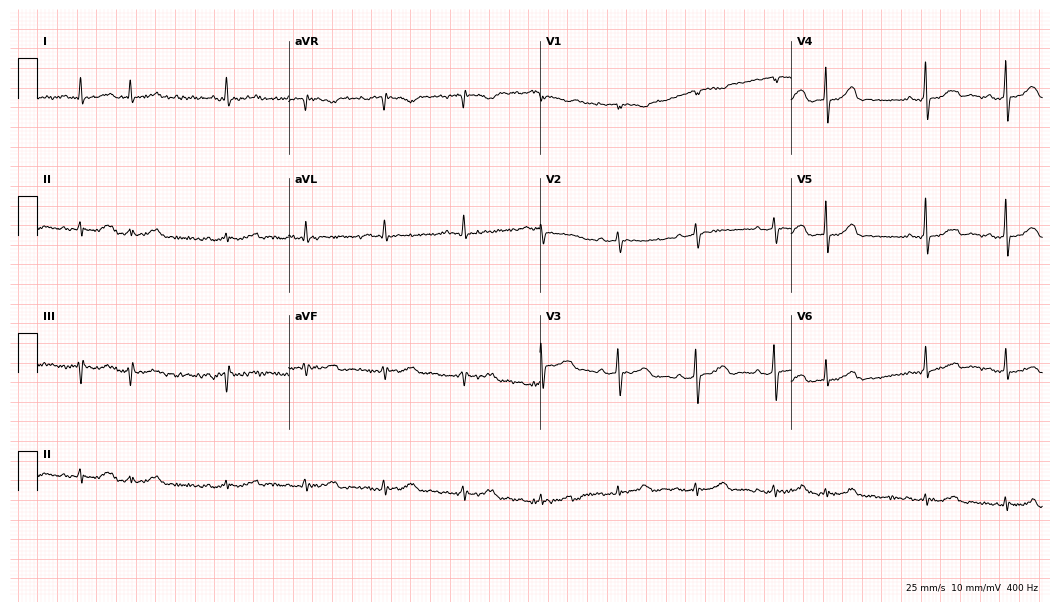
ECG (10.2-second recording at 400 Hz) — a 76-year-old female. Screened for six findings — first-degree AV block, right bundle branch block, left bundle branch block, sinus bradycardia, atrial fibrillation, sinus tachycardia — none is recorded.